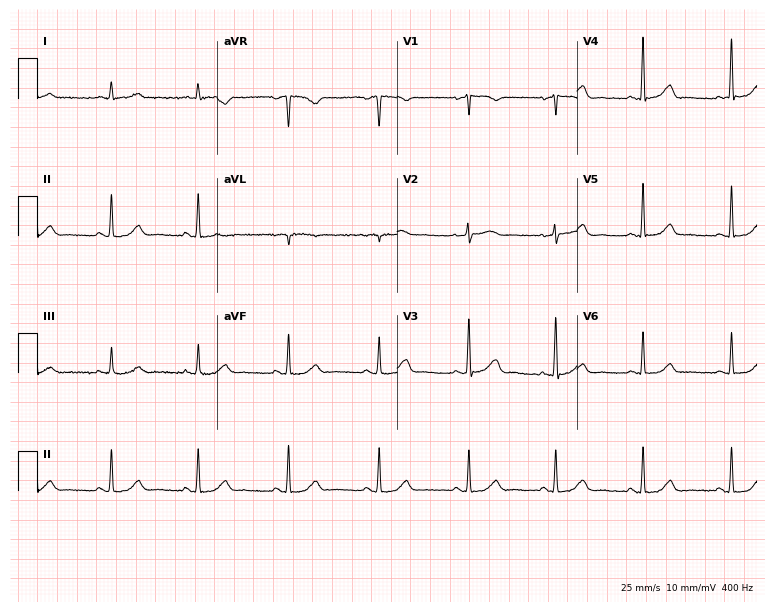
ECG — a female patient, 73 years old. Labelled as a normal ECG.